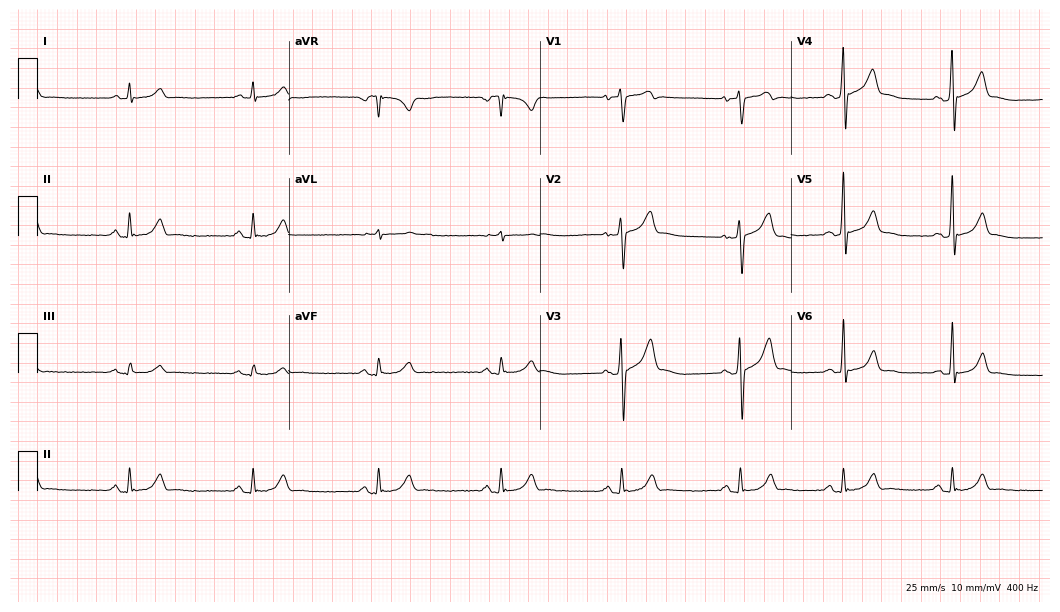
Electrocardiogram, a male, 41 years old. Of the six screened findings (first-degree AV block, right bundle branch block (RBBB), left bundle branch block (LBBB), sinus bradycardia, atrial fibrillation (AF), sinus tachycardia), none is recorded. Findings outside these six are not listed.